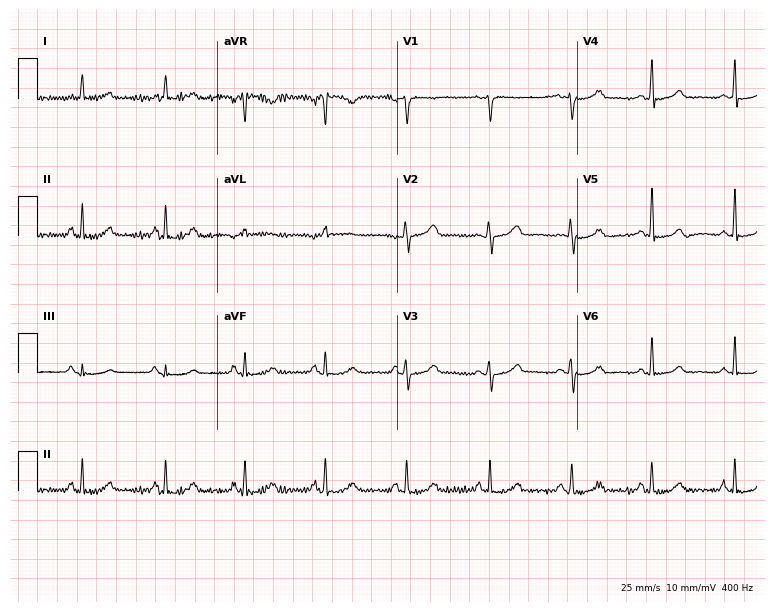
ECG (7.3-second recording at 400 Hz) — a 48-year-old female patient. Screened for six findings — first-degree AV block, right bundle branch block, left bundle branch block, sinus bradycardia, atrial fibrillation, sinus tachycardia — none is recorded. Only these six findings were labelled.